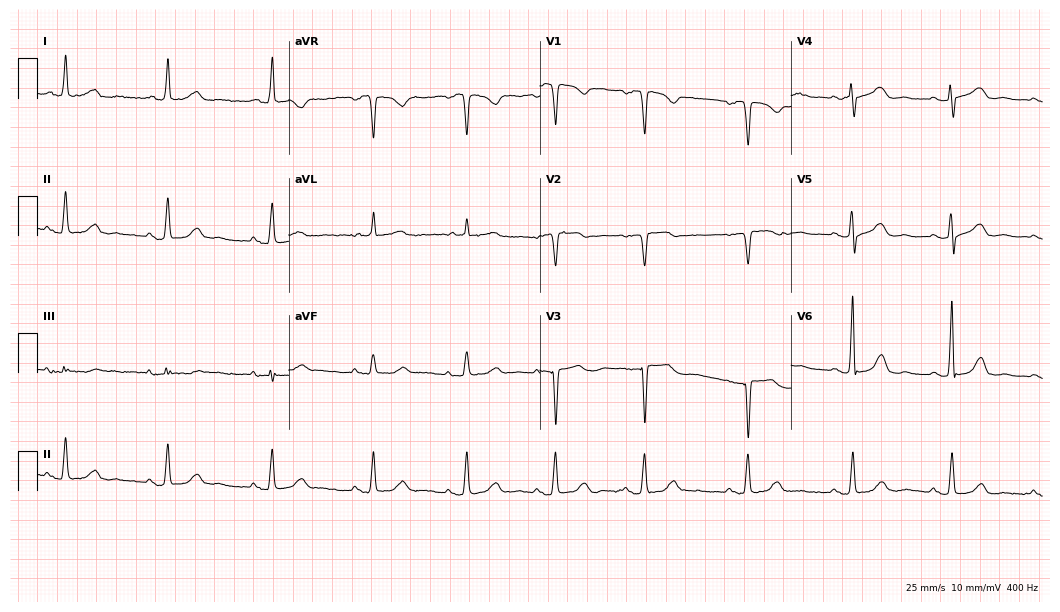
Electrocardiogram, a female patient, 66 years old. Overall reading on record: normal ECG.